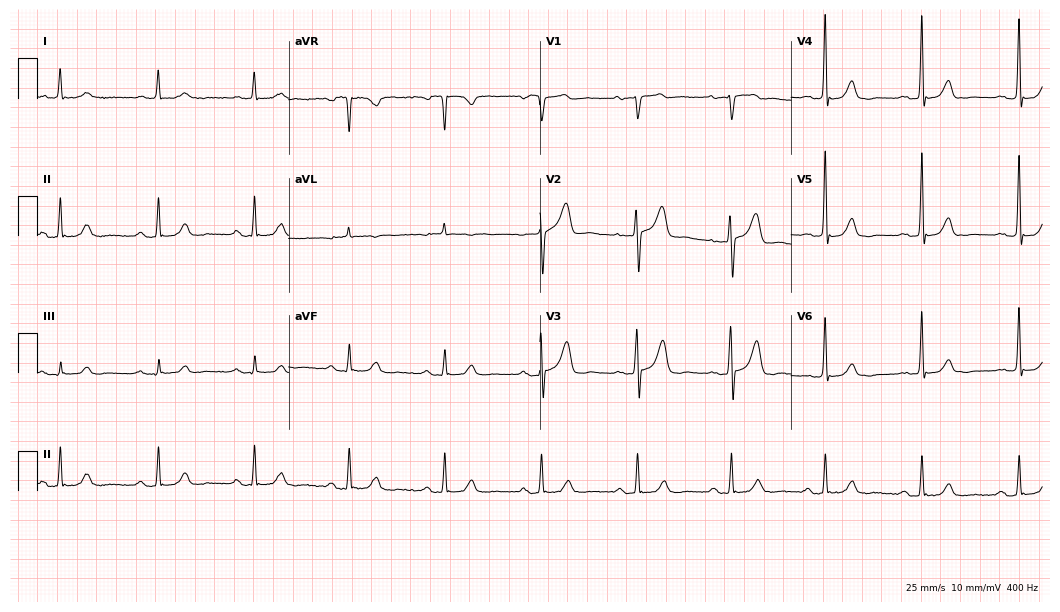
Electrocardiogram, a 67-year-old man. Overall reading on record: normal ECG.